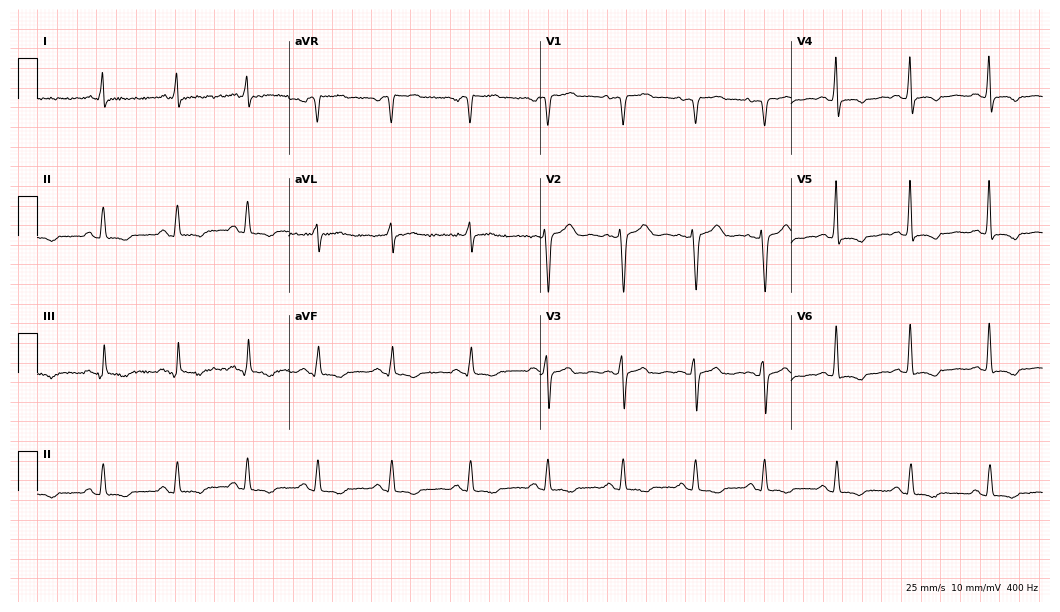
12-lead ECG from a female patient, 64 years old. Screened for six findings — first-degree AV block, right bundle branch block, left bundle branch block, sinus bradycardia, atrial fibrillation, sinus tachycardia — none is recorded. Other findings, if any, are not listed.